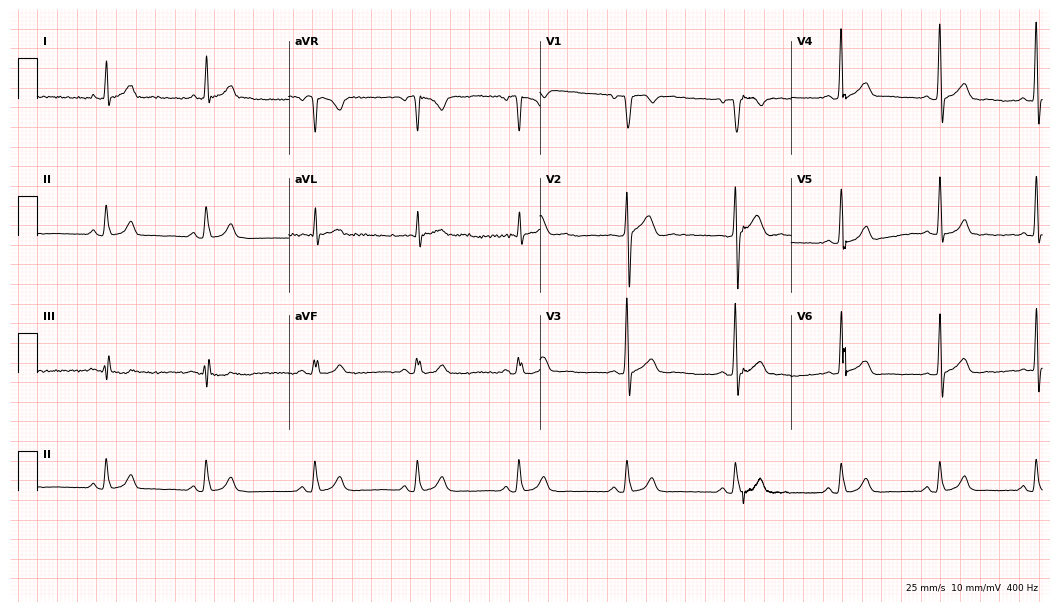
12-lead ECG from a 41-year-old male patient. Labelled as a normal ECG.